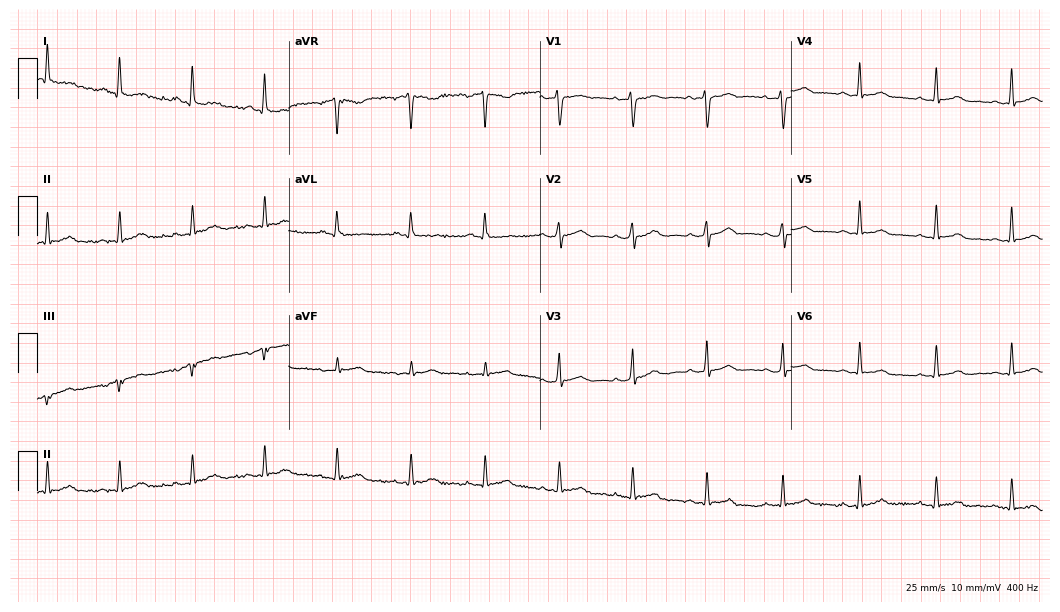
Resting 12-lead electrocardiogram (10.2-second recording at 400 Hz). Patient: a female, 36 years old. Read as a normal ECG.